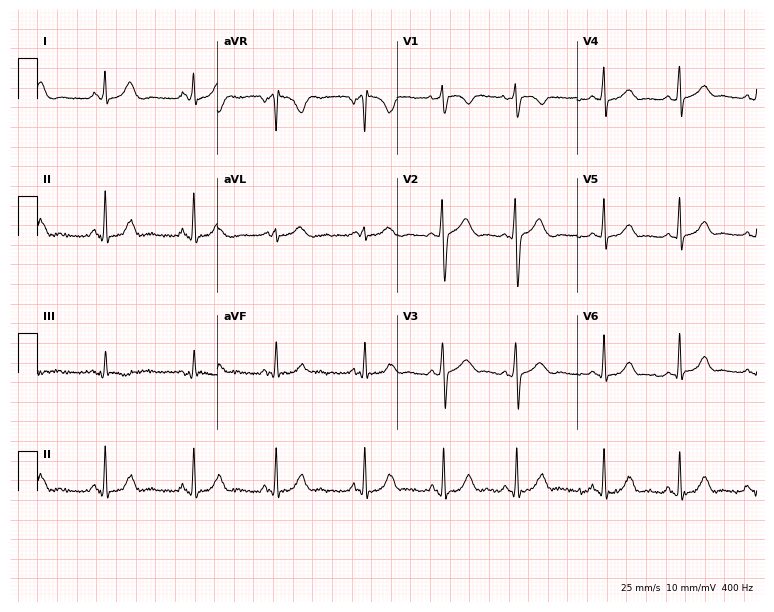
Resting 12-lead electrocardiogram (7.3-second recording at 400 Hz). Patient: a 19-year-old female. Read as a normal ECG.